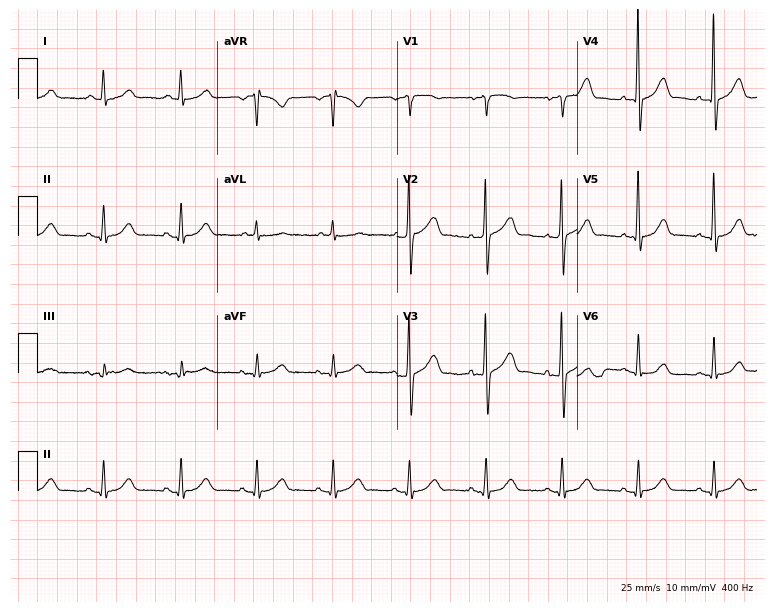
12-lead ECG from a 79-year-old male. Labelled as a normal ECG.